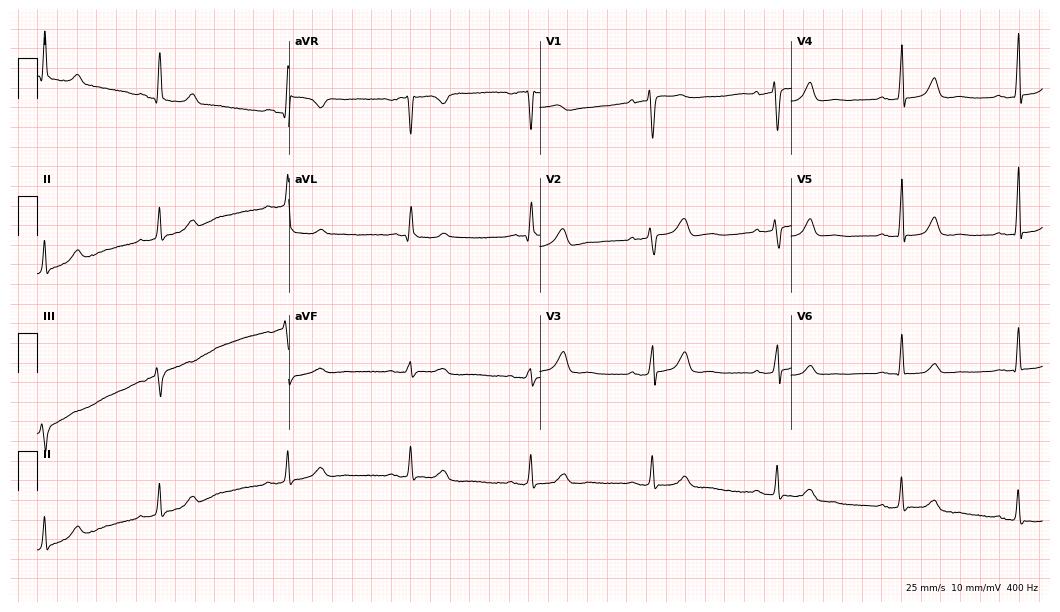
ECG (10.2-second recording at 400 Hz) — a woman, 61 years old. Screened for six findings — first-degree AV block, right bundle branch block, left bundle branch block, sinus bradycardia, atrial fibrillation, sinus tachycardia — none is recorded. Findings outside these six are not listed.